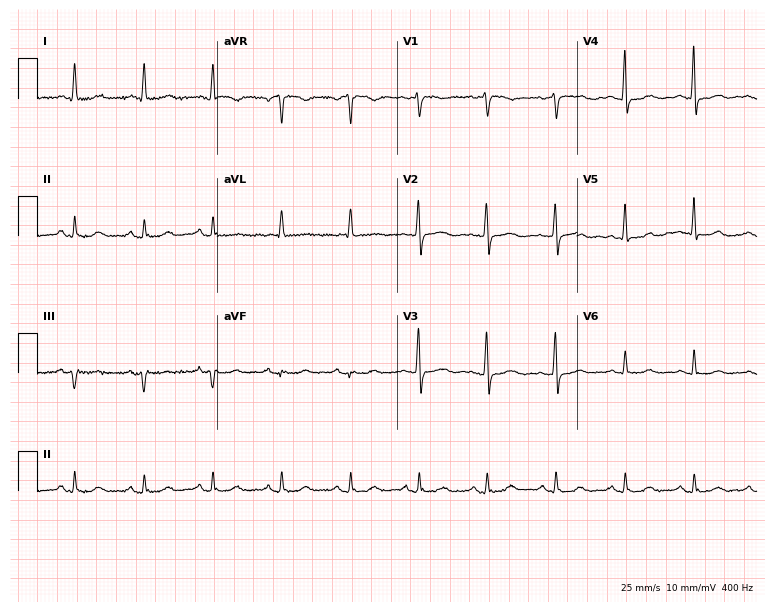
Standard 12-lead ECG recorded from a female patient, 72 years old (7.3-second recording at 400 Hz). None of these six findings is recorded: first-degree AV block, right bundle branch block, left bundle branch block, sinus bradycardia, atrial fibrillation, sinus tachycardia. Other findings, if any, are not listed.